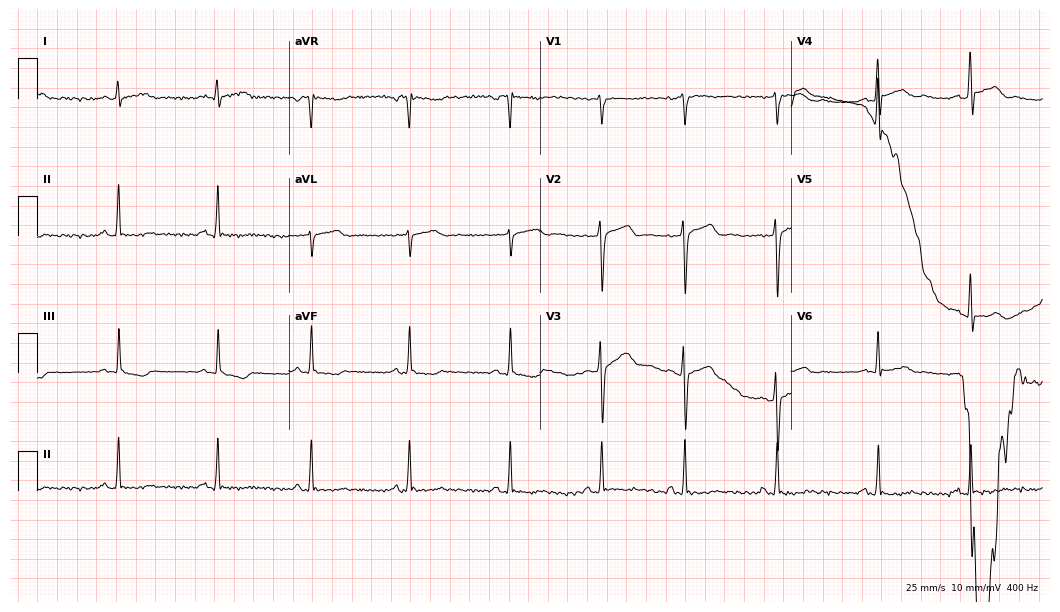
Standard 12-lead ECG recorded from a male, 29 years old (10.2-second recording at 400 Hz). None of these six findings is recorded: first-degree AV block, right bundle branch block, left bundle branch block, sinus bradycardia, atrial fibrillation, sinus tachycardia.